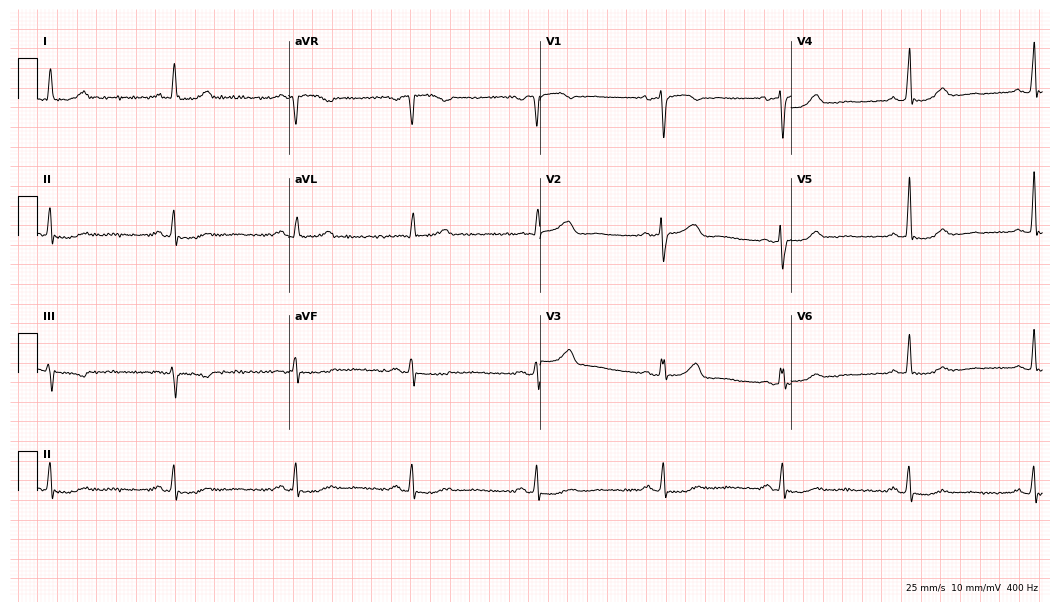
Electrocardiogram (10.2-second recording at 400 Hz), a 66-year-old woman. Interpretation includes sinus bradycardia (a sinus rate of 50 beats per minute or less).